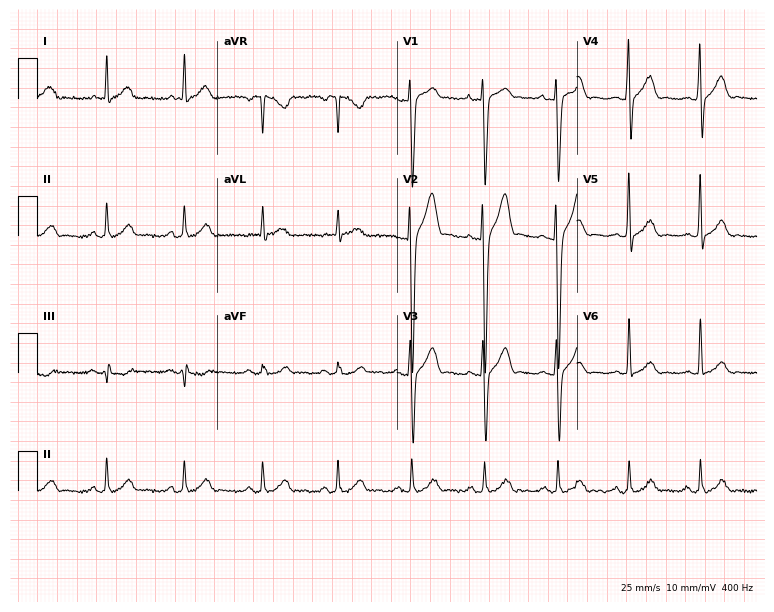
Electrocardiogram (7.3-second recording at 400 Hz), a man, 24 years old. Overall reading on record: normal ECG.